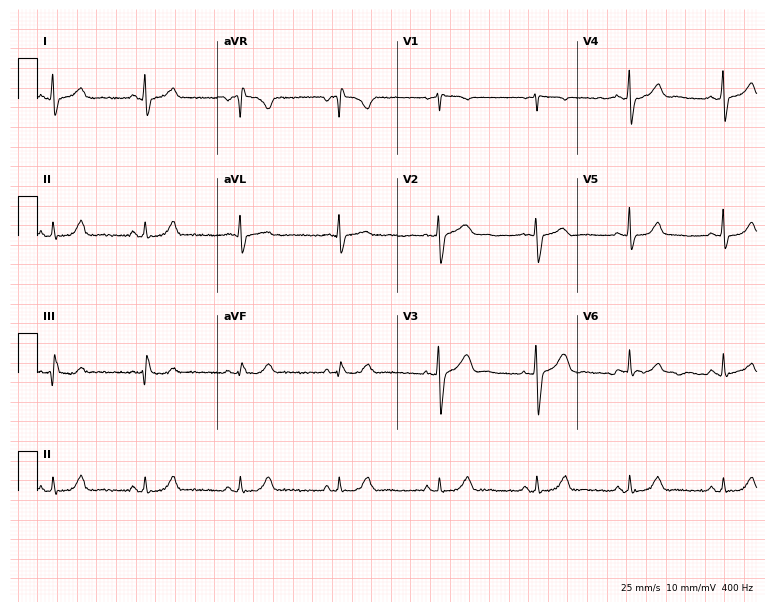
Standard 12-lead ECG recorded from a 51-year-old female. None of these six findings is recorded: first-degree AV block, right bundle branch block (RBBB), left bundle branch block (LBBB), sinus bradycardia, atrial fibrillation (AF), sinus tachycardia.